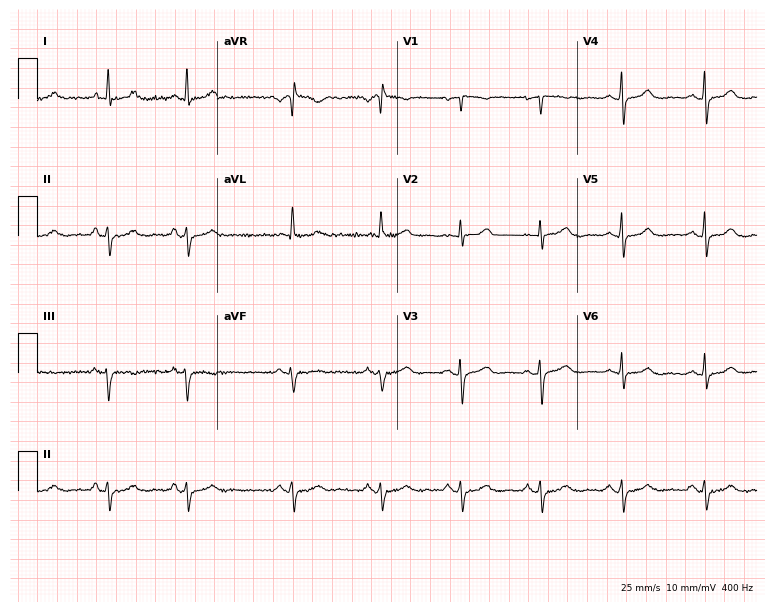
Standard 12-lead ECG recorded from a 70-year-old woman. None of these six findings is recorded: first-degree AV block, right bundle branch block (RBBB), left bundle branch block (LBBB), sinus bradycardia, atrial fibrillation (AF), sinus tachycardia. Findings outside these six are not listed.